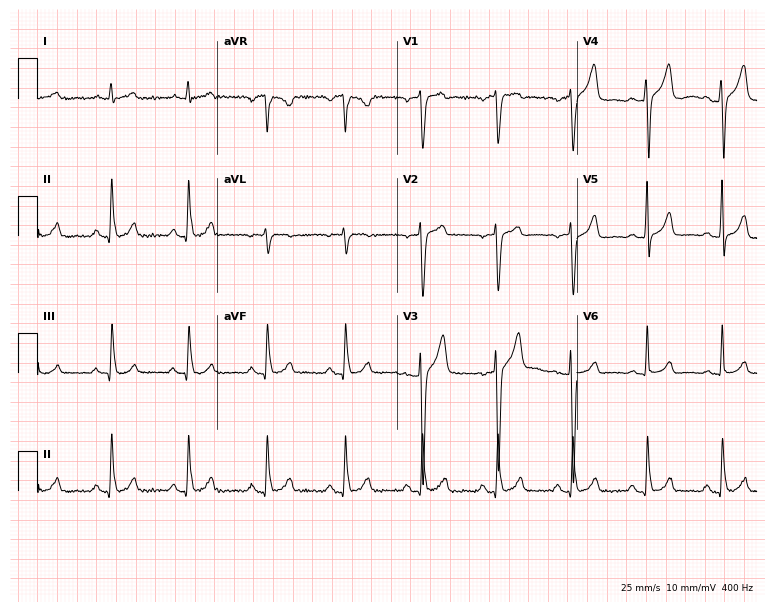
Electrocardiogram, a man, 51 years old. Of the six screened findings (first-degree AV block, right bundle branch block (RBBB), left bundle branch block (LBBB), sinus bradycardia, atrial fibrillation (AF), sinus tachycardia), none is recorded.